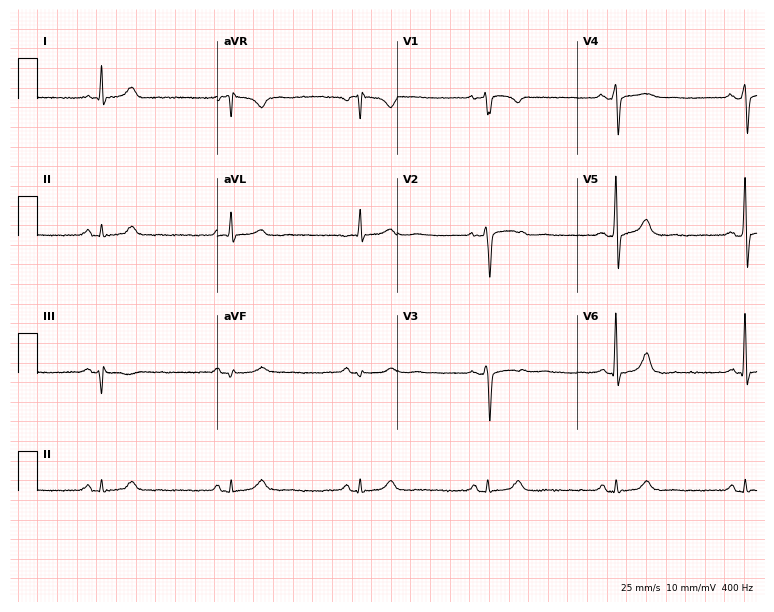
ECG (7.3-second recording at 400 Hz) — a 74-year-old female patient. Findings include sinus bradycardia (a sinus rate of 50 beats per minute or less).